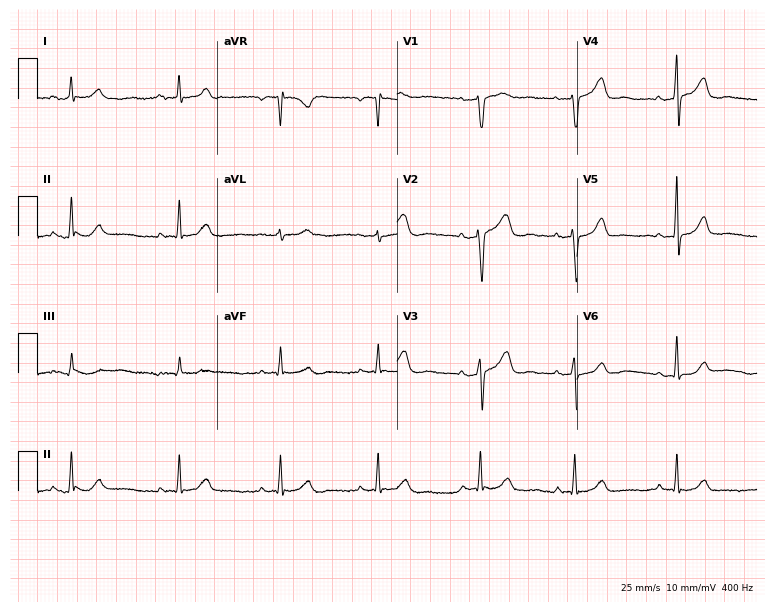
12-lead ECG from a 36-year-old female. No first-degree AV block, right bundle branch block (RBBB), left bundle branch block (LBBB), sinus bradycardia, atrial fibrillation (AF) or sinus tachycardia recorded for this tracing. Findings outside these six are not listed.